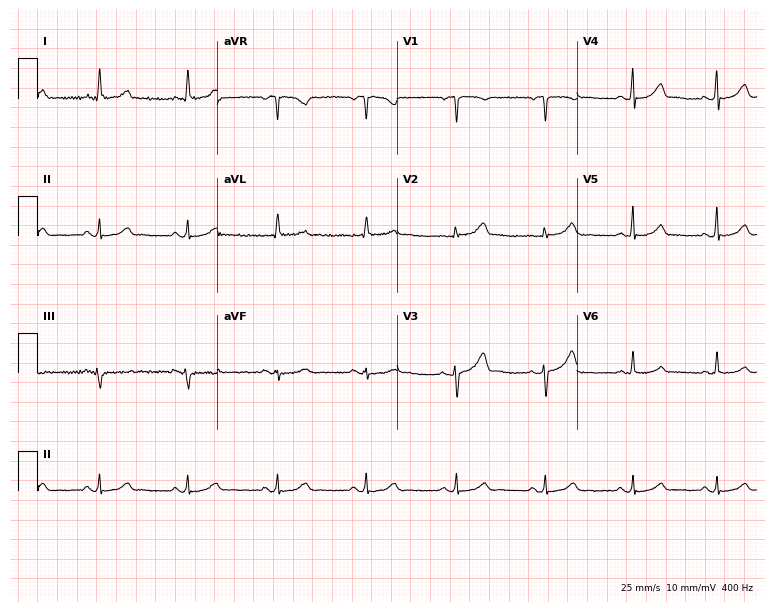
12-lead ECG from a 60-year-old female (7.3-second recording at 400 Hz). Recorded interpretation: within normal limits.